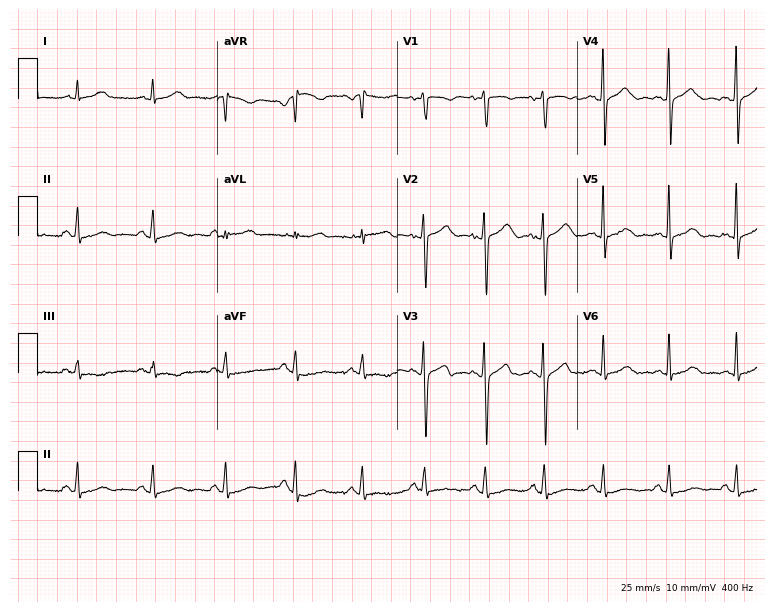
ECG (7.3-second recording at 400 Hz) — a female patient, 44 years old. Screened for six findings — first-degree AV block, right bundle branch block (RBBB), left bundle branch block (LBBB), sinus bradycardia, atrial fibrillation (AF), sinus tachycardia — none is recorded.